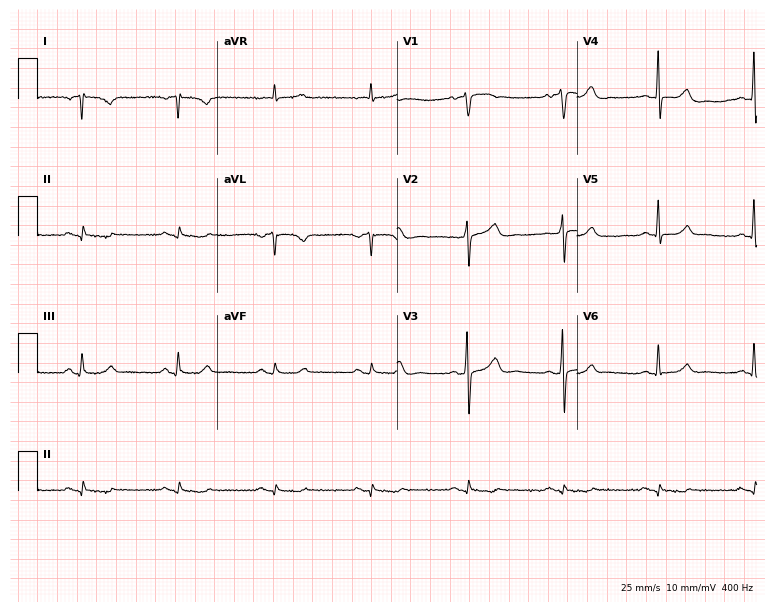
ECG (7.3-second recording at 400 Hz) — a 66-year-old male patient. Screened for six findings — first-degree AV block, right bundle branch block, left bundle branch block, sinus bradycardia, atrial fibrillation, sinus tachycardia — none is recorded. Only these six findings were labelled.